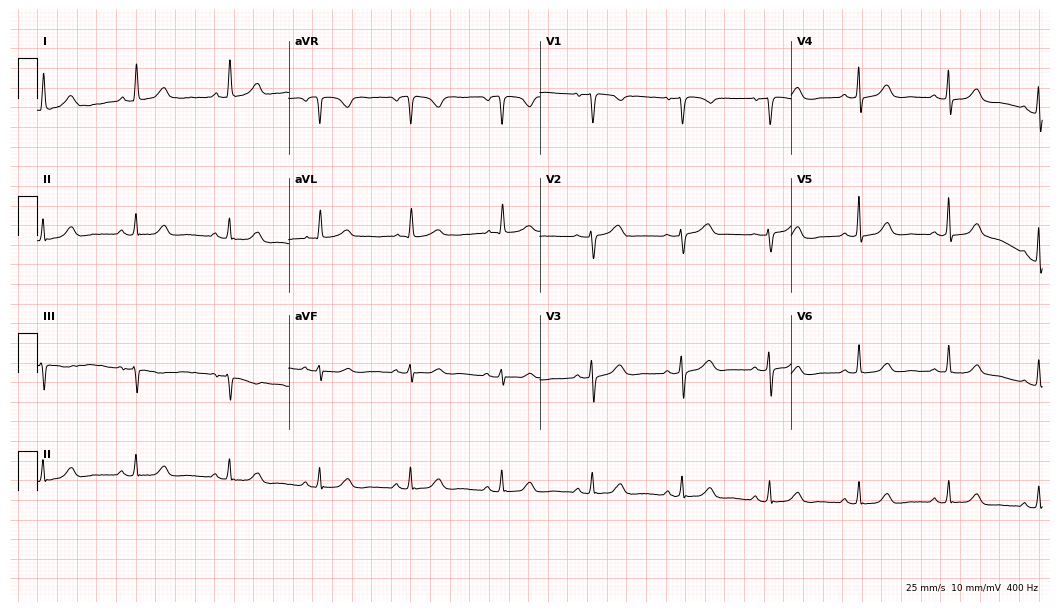
12-lead ECG from a female patient, 56 years old. Labelled as a normal ECG.